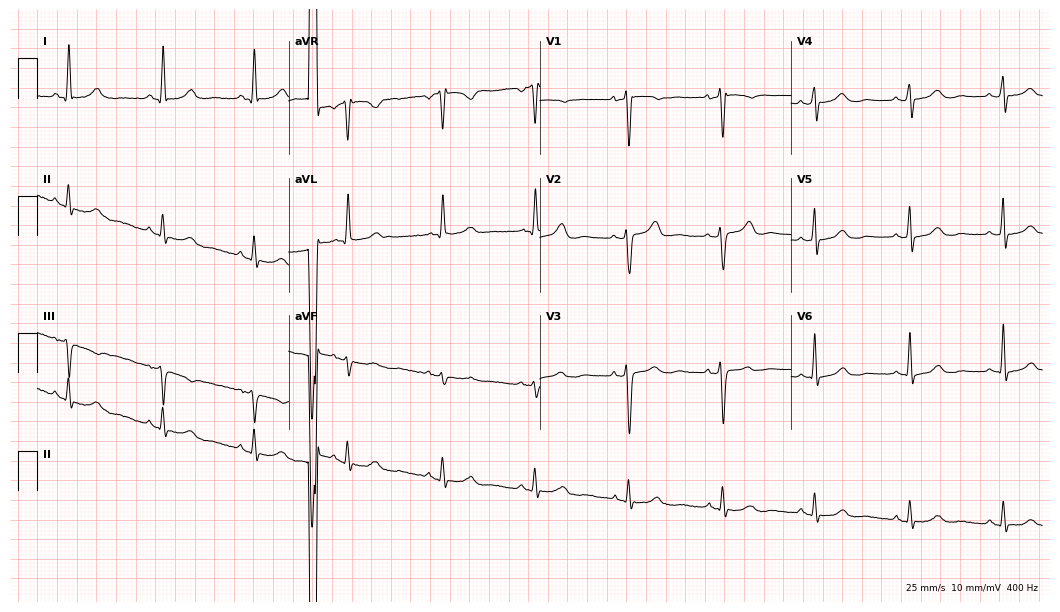
ECG — a 62-year-old woman. Labelled as a normal ECG.